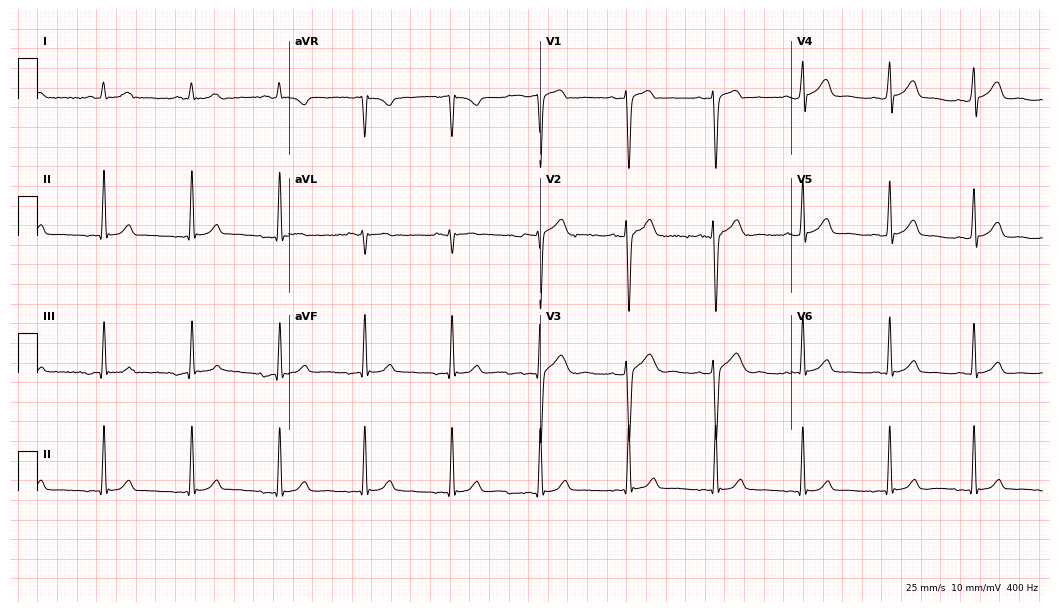
12-lead ECG (10.2-second recording at 400 Hz) from a 36-year-old man. Screened for six findings — first-degree AV block, right bundle branch block (RBBB), left bundle branch block (LBBB), sinus bradycardia, atrial fibrillation (AF), sinus tachycardia — none is recorded. Findings outside these six are not listed.